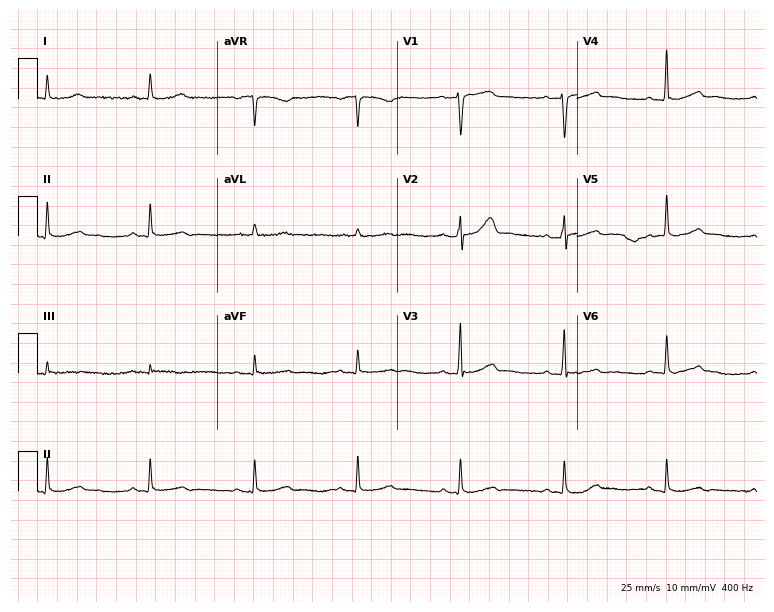
12-lead ECG from a 67-year-old female. Recorded interpretation: within normal limits.